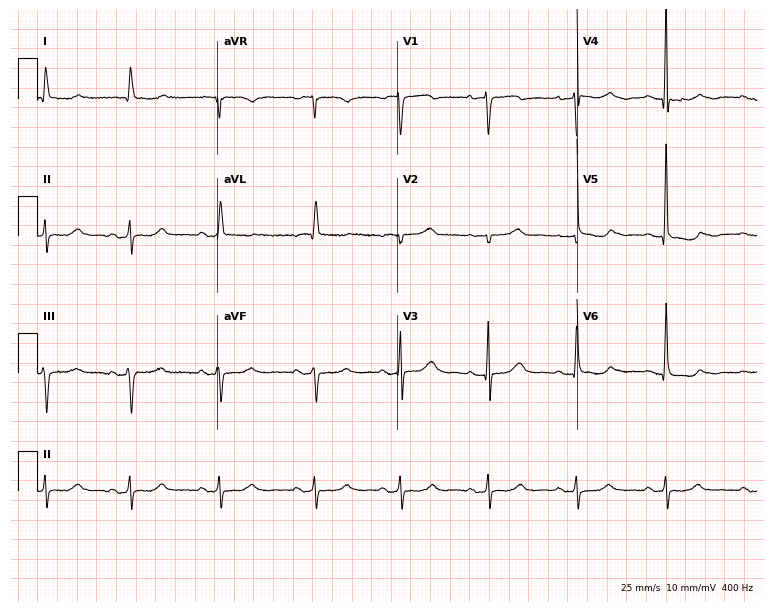
Resting 12-lead electrocardiogram (7.3-second recording at 400 Hz). Patient: a 73-year-old female. None of these six findings is recorded: first-degree AV block, right bundle branch block (RBBB), left bundle branch block (LBBB), sinus bradycardia, atrial fibrillation (AF), sinus tachycardia.